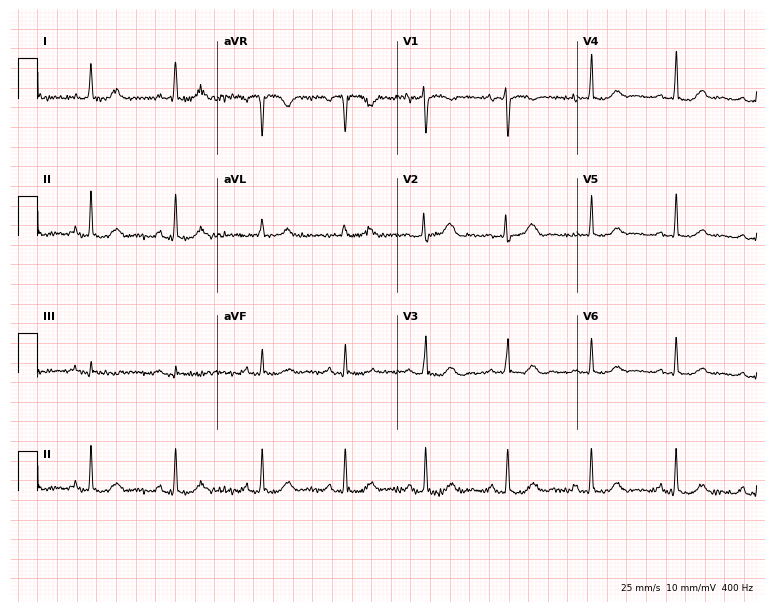
12-lead ECG from a 59-year-old female. Labelled as a normal ECG.